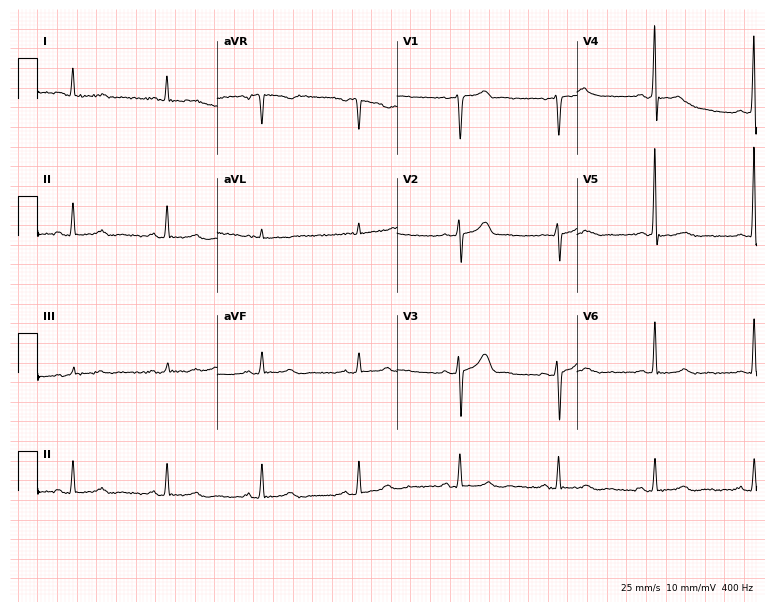
Resting 12-lead electrocardiogram (7.3-second recording at 400 Hz). Patient: a man, 66 years old. None of these six findings is recorded: first-degree AV block, right bundle branch block, left bundle branch block, sinus bradycardia, atrial fibrillation, sinus tachycardia. Other findings, if any, are not listed.